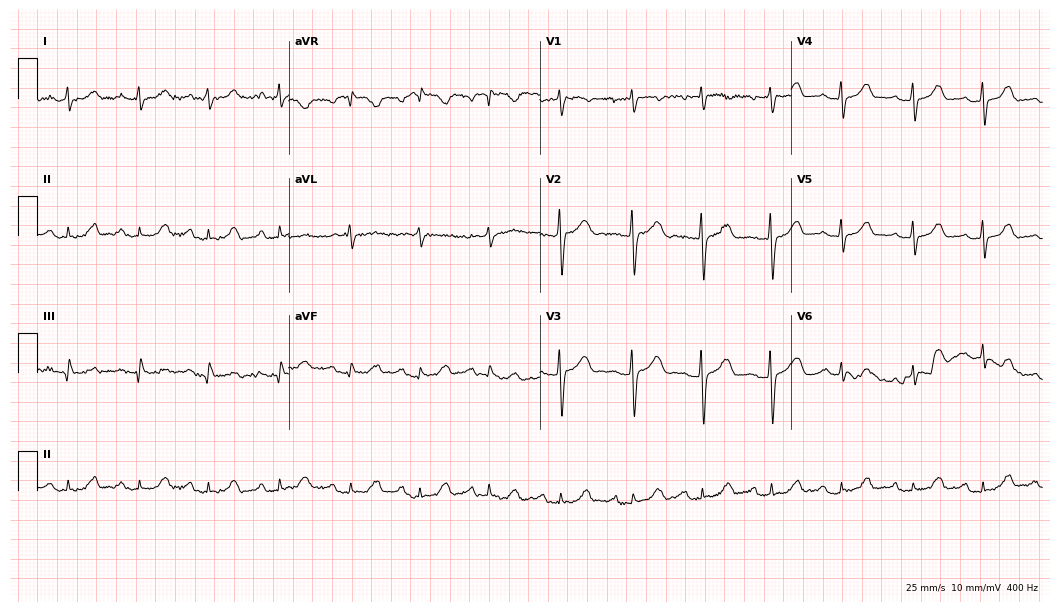
Resting 12-lead electrocardiogram. Patient: a female, 28 years old. None of these six findings is recorded: first-degree AV block, right bundle branch block, left bundle branch block, sinus bradycardia, atrial fibrillation, sinus tachycardia.